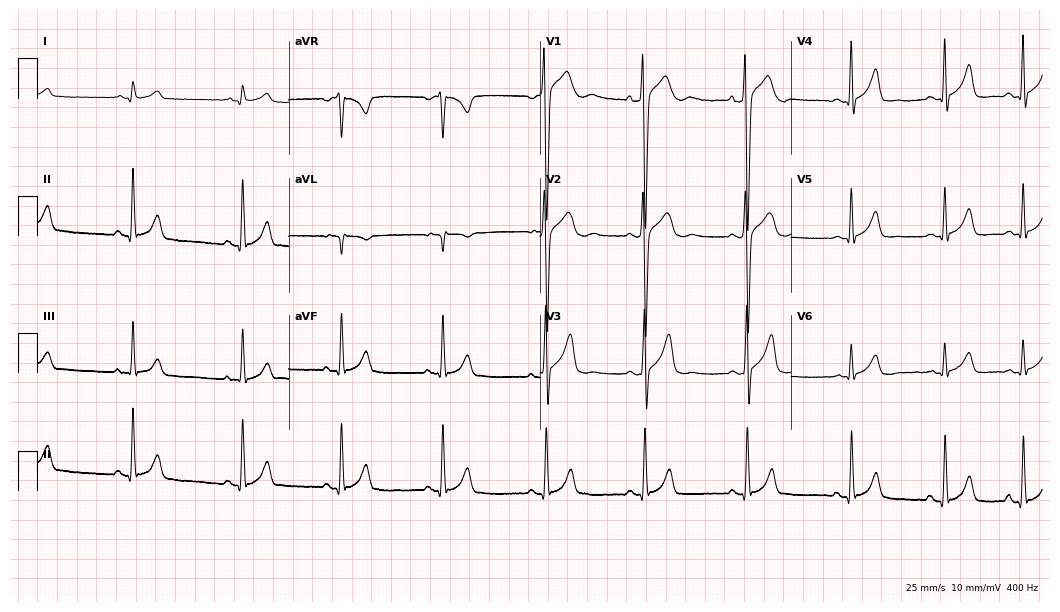
ECG (10.2-second recording at 400 Hz) — a 17-year-old man. Labelled as a normal ECG.